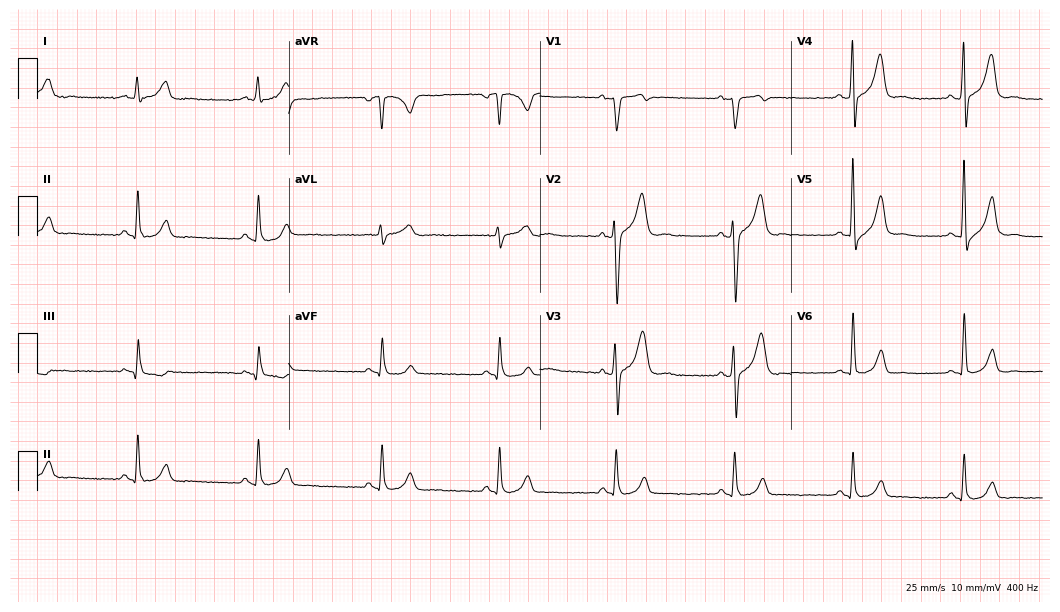
12-lead ECG from a female patient, 50 years old (10.2-second recording at 400 Hz). Recorded interpretation: within normal limits.